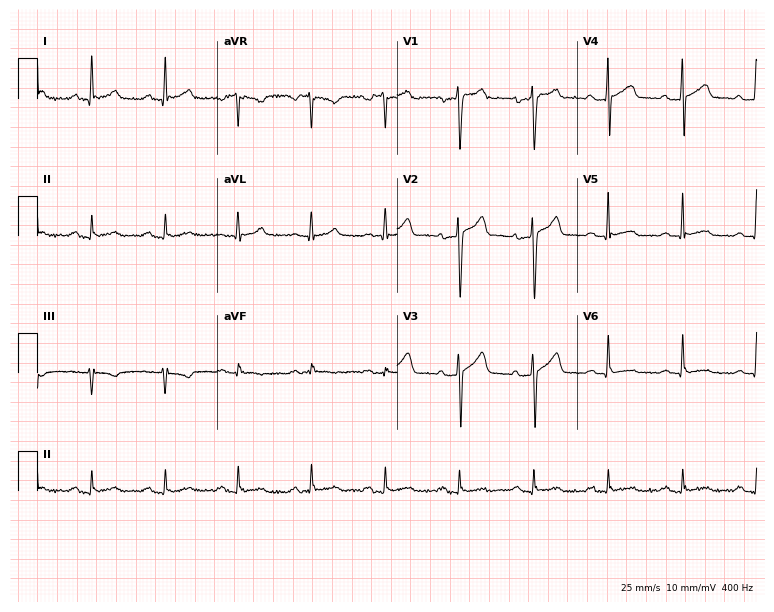
Electrocardiogram, a 51-year-old male. Overall reading on record: normal ECG.